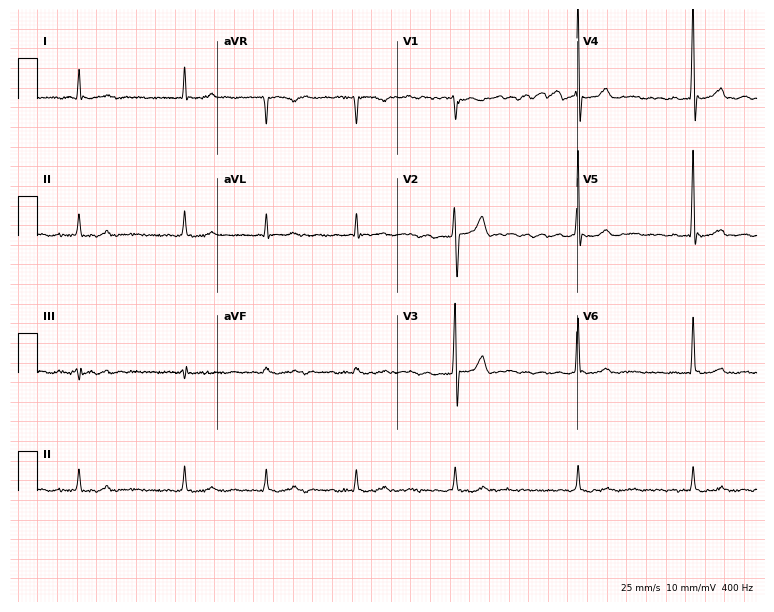
12-lead ECG from a man, 65 years old. Findings include atrial fibrillation.